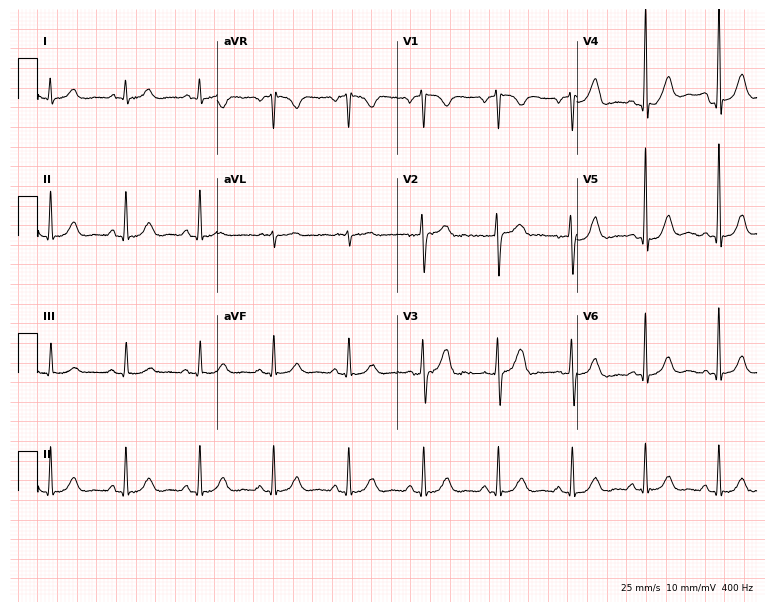
12-lead ECG (7.3-second recording at 400 Hz) from a male, 52 years old. Labelled as a normal ECG.